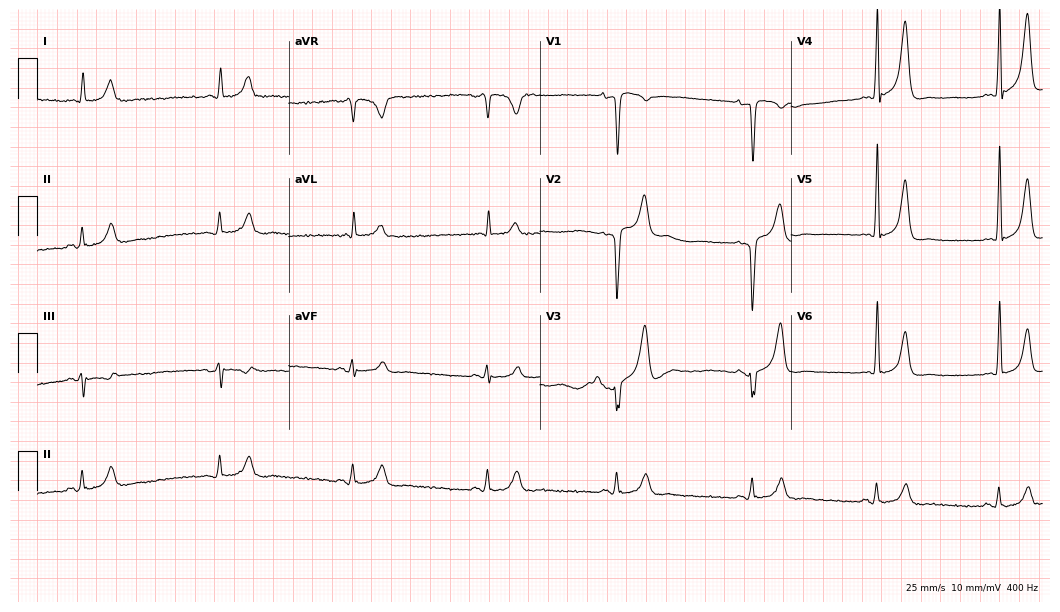
ECG (10.2-second recording at 400 Hz) — a male patient, 66 years old. Screened for six findings — first-degree AV block, right bundle branch block, left bundle branch block, sinus bradycardia, atrial fibrillation, sinus tachycardia — none is recorded.